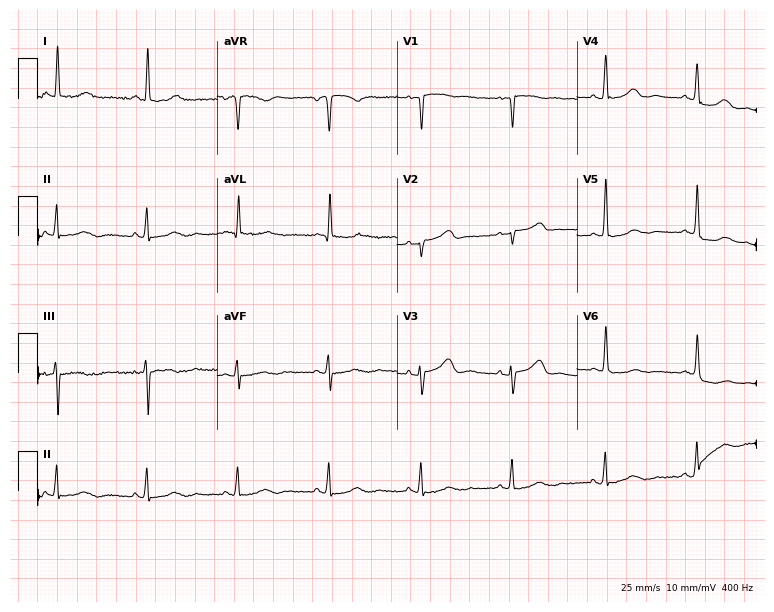
12-lead ECG (7.3-second recording at 400 Hz) from a female, 51 years old. Screened for six findings — first-degree AV block, right bundle branch block, left bundle branch block, sinus bradycardia, atrial fibrillation, sinus tachycardia — none is recorded.